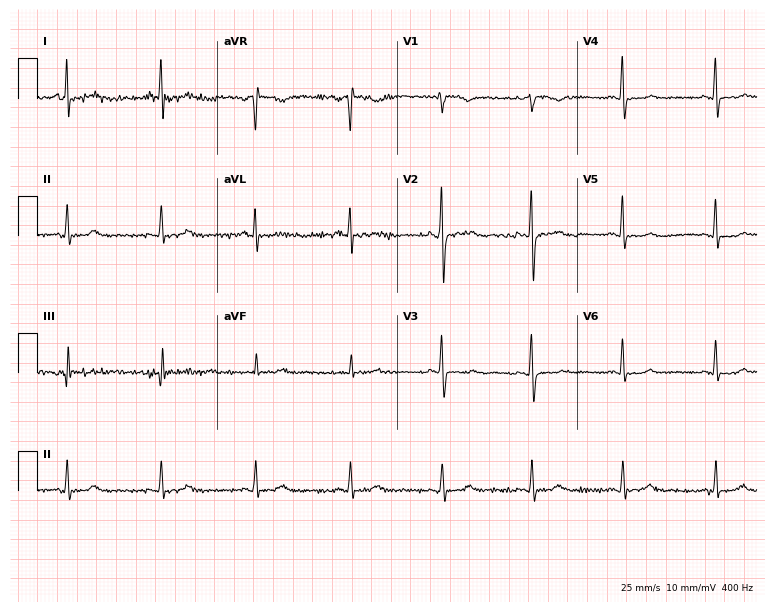
12-lead ECG from a 64-year-old female. Screened for six findings — first-degree AV block, right bundle branch block, left bundle branch block, sinus bradycardia, atrial fibrillation, sinus tachycardia — none is recorded.